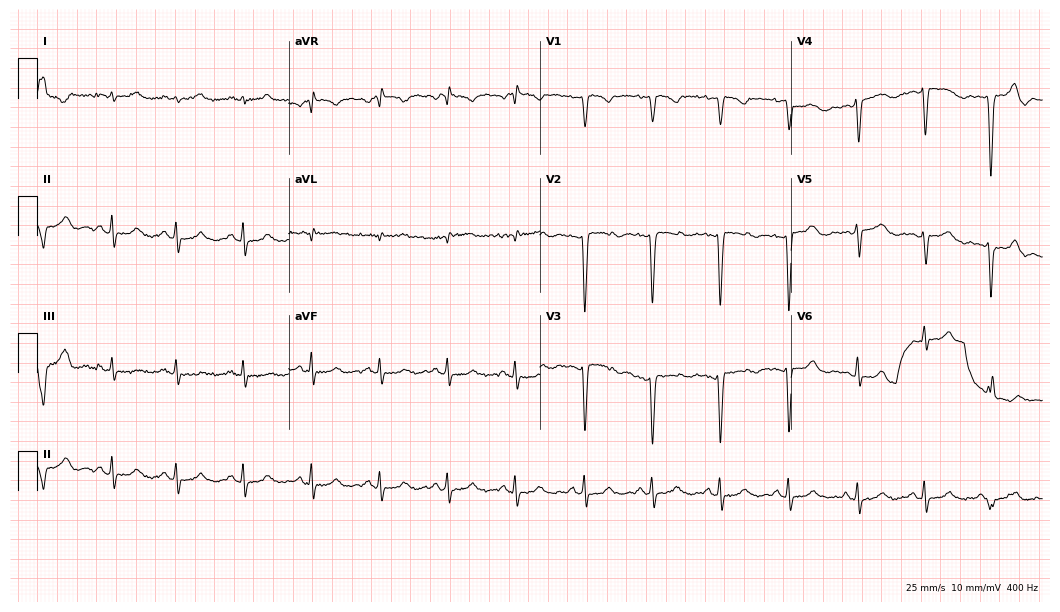
Resting 12-lead electrocardiogram. Patient: a 50-year-old woman. Read as a normal ECG.